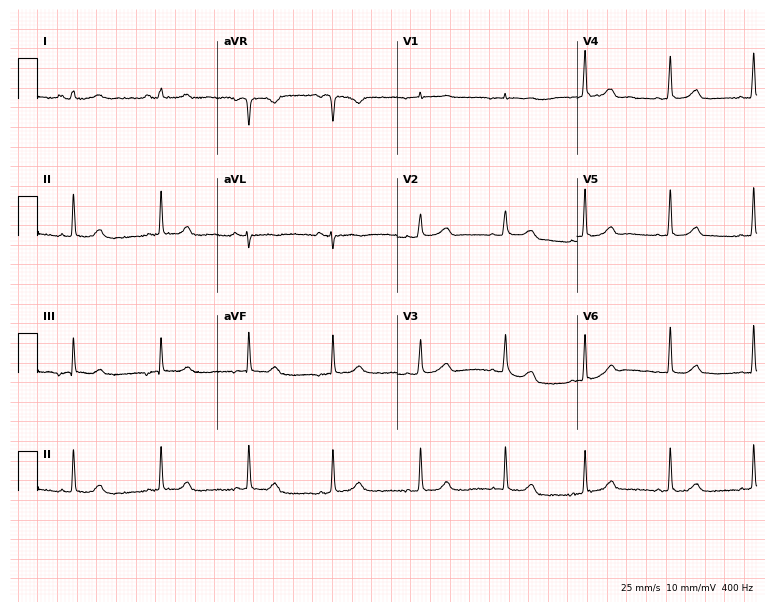
12-lead ECG from a female patient, 31 years old (7.3-second recording at 400 Hz). No first-degree AV block, right bundle branch block, left bundle branch block, sinus bradycardia, atrial fibrillation or sinus tachycardia recorded for this tracing. Only these six findings were labelled.